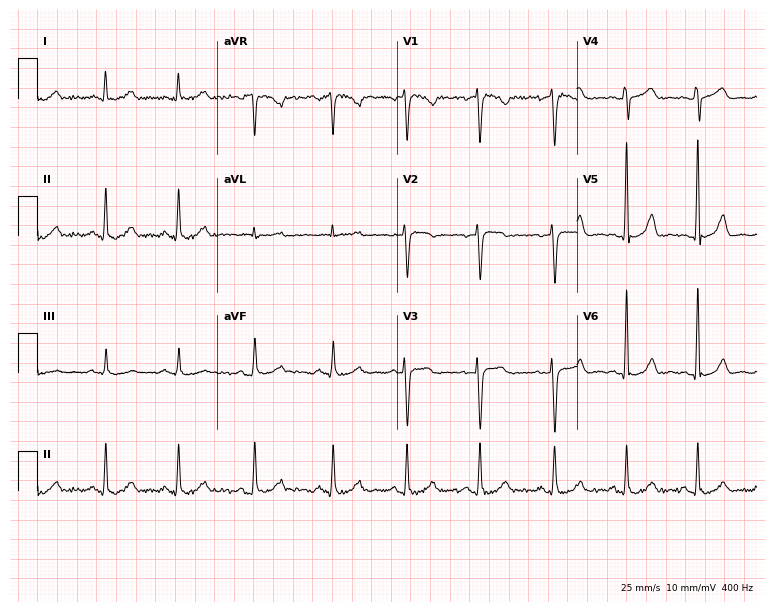
Standard 12-lead ECG recorded from a female patient, 37 years old (7.3-second recording at 400 Hz). Read as a normal ECG.